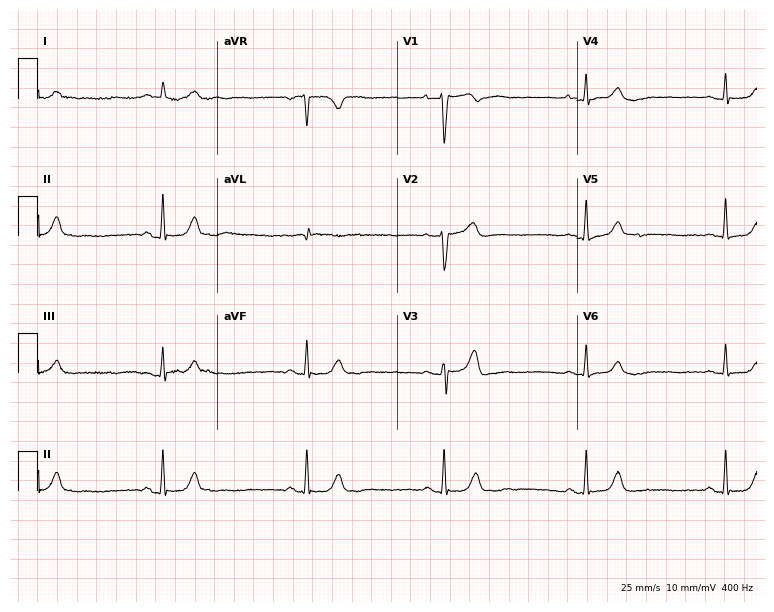
Standard 12-lead ECG recorded from an 81-year-old male (7.3-second recording at 400 Hz). The tracing shows sinus bradycardia (a sinus rate of 50 beats per minute or less).